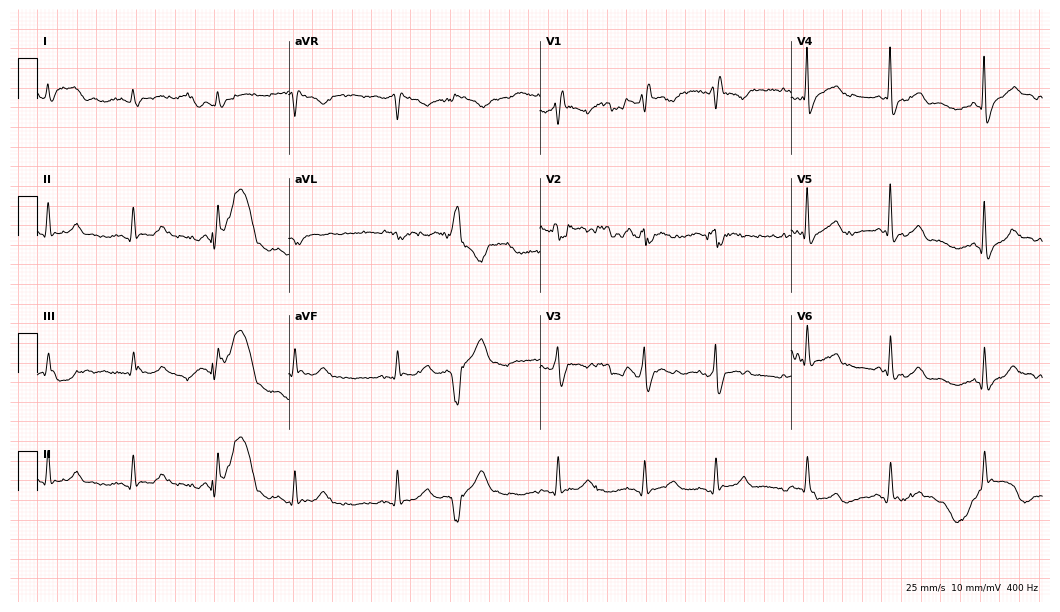
Standard 12-lead ECG recorded from a male, 65 years old (10.2-second recording at 400 Hz). None of these six findings is recorded: first-degree AV block, right bundle branch block, left bundle branch block, sinus bradycardia, atrial fibrillation, sinus tachycardia.